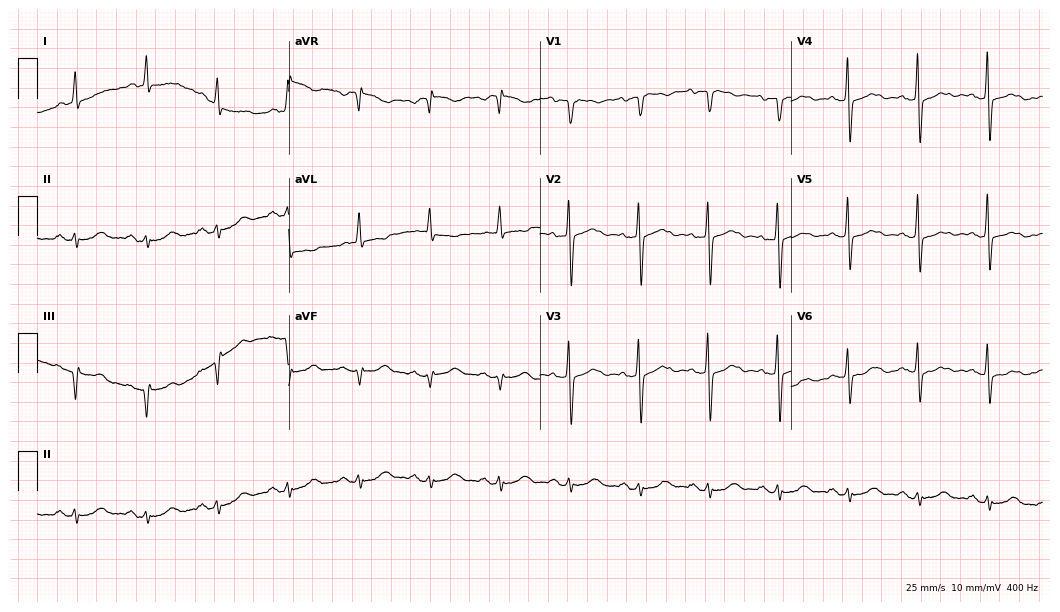
12-lead ECG from a 67-year-old female (10.2-second recording at 400 Hz). No first-degree AV block, right bundle branch block, left bundle branch block, sinus bradycardia, atrial fibrillation or sinus tachycardia recorded for this tracing. Findings outside these six are not listed.